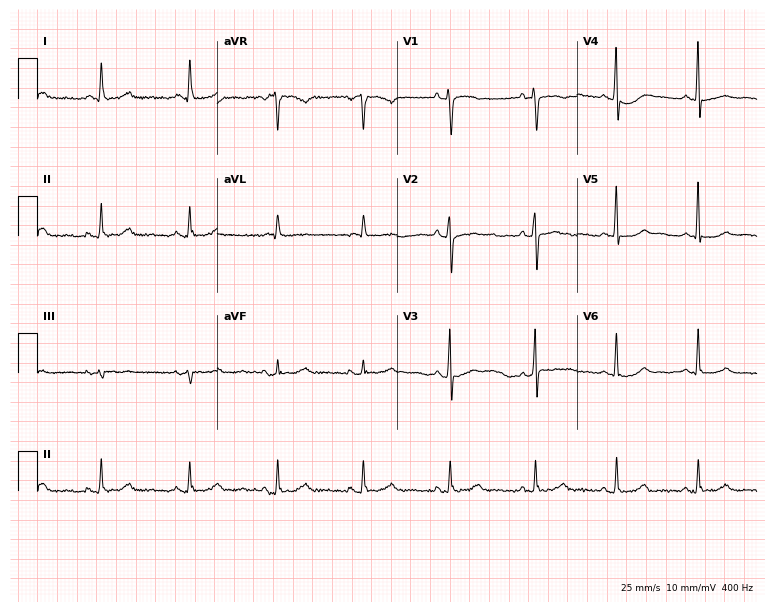
Standard 12-lead ECG recorded from a woman, 51 years old. Read as a normal ECG.